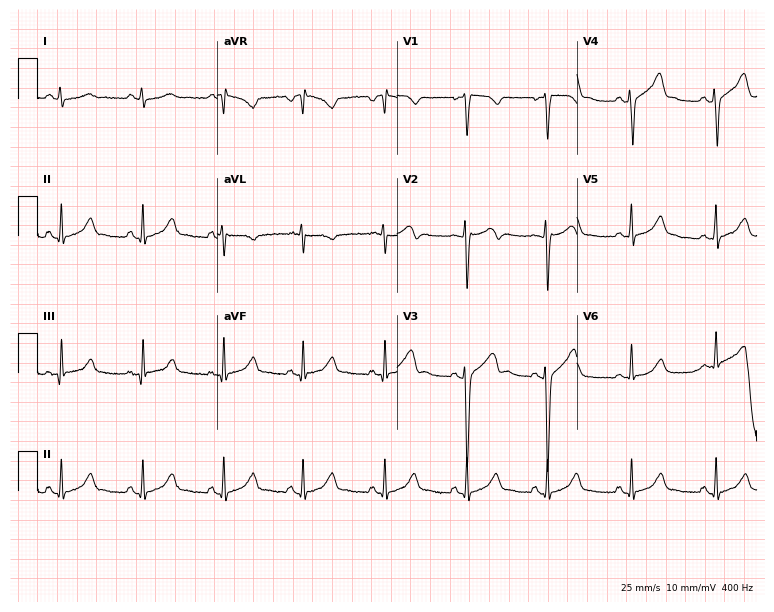
12-lead ECG from a 43-year-old woman. Labelled as a normal ECG.